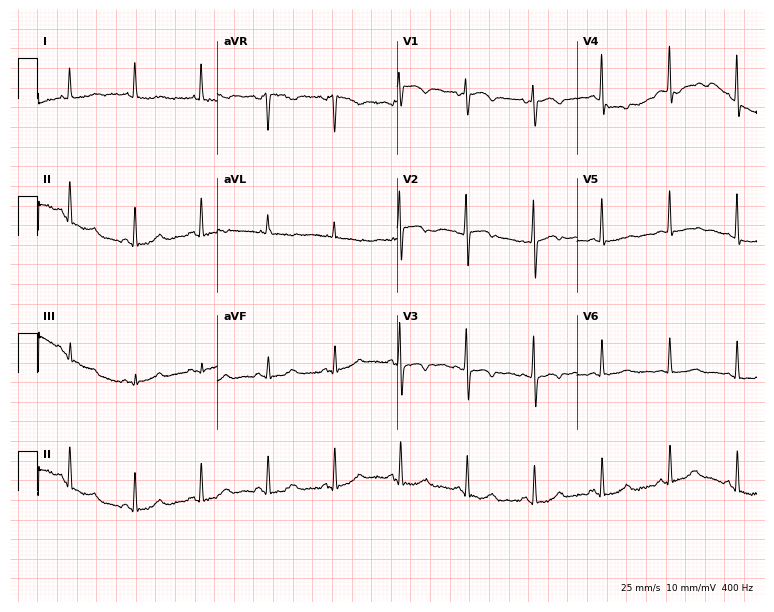
12-lead ECG (7.3-second recording at 400 Hz) from a 62-year-old woman. Screened for six findings — first-degree AV block, right bundle branch block, left bundle branch block, sinus bradycardia, atrial fibrillation, sinus tachycardia — none is recorded.